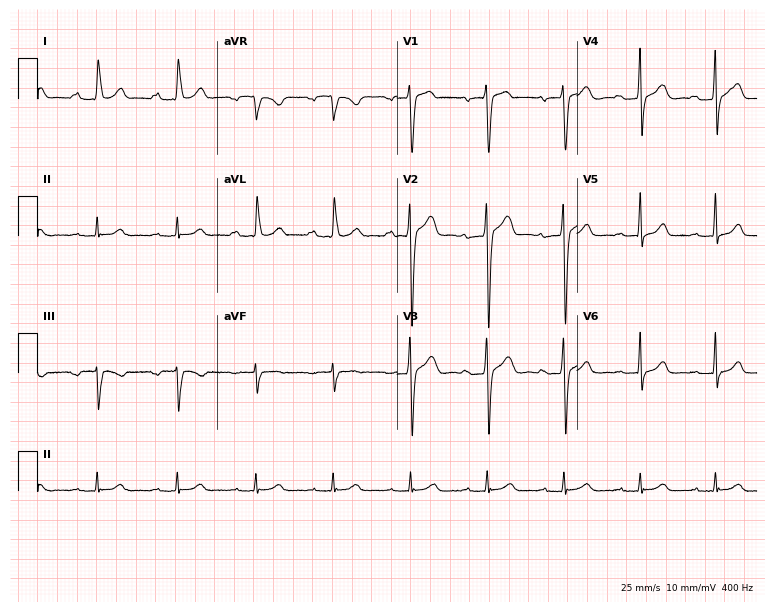
12-lead ECG from a man, 46 years old (7.3-second recording at 400 Hz). Shows first-degree AV block.